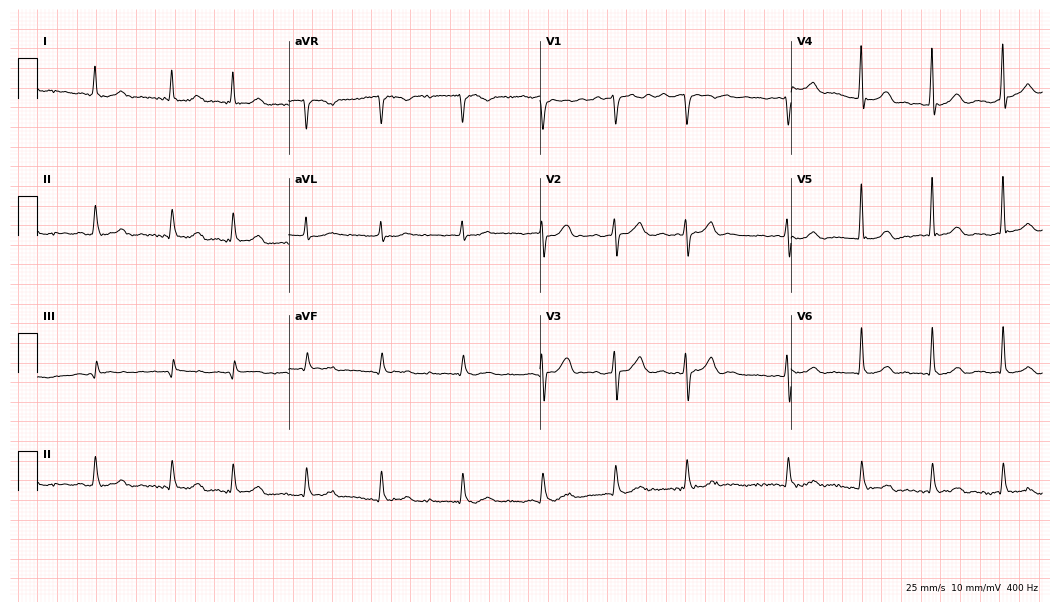
Resting 12-lead electrocardiogram. Patient: a 72-year-old male. The tracing shows atrial fibrillation.